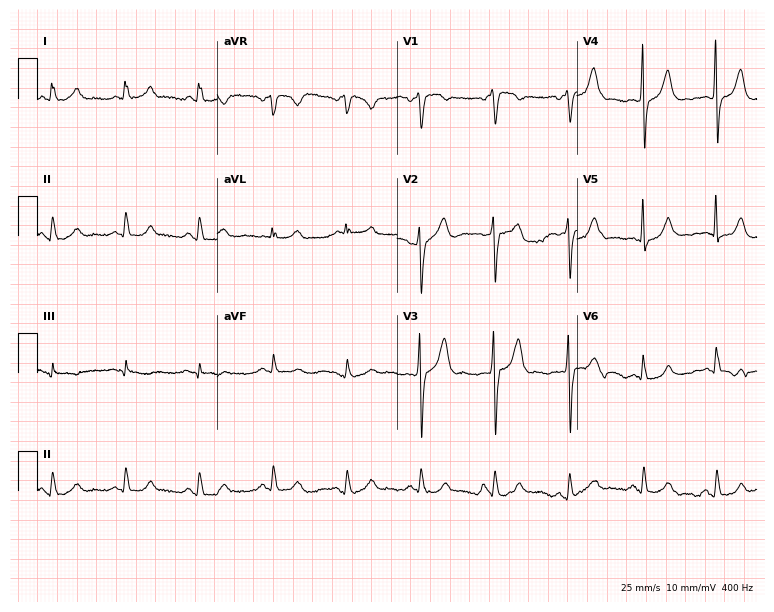
Resting 12-lead electrocardiogram (7.3-second recording at 400 Hz). Patient: a male, 85 years old. Read as a normal ECG.